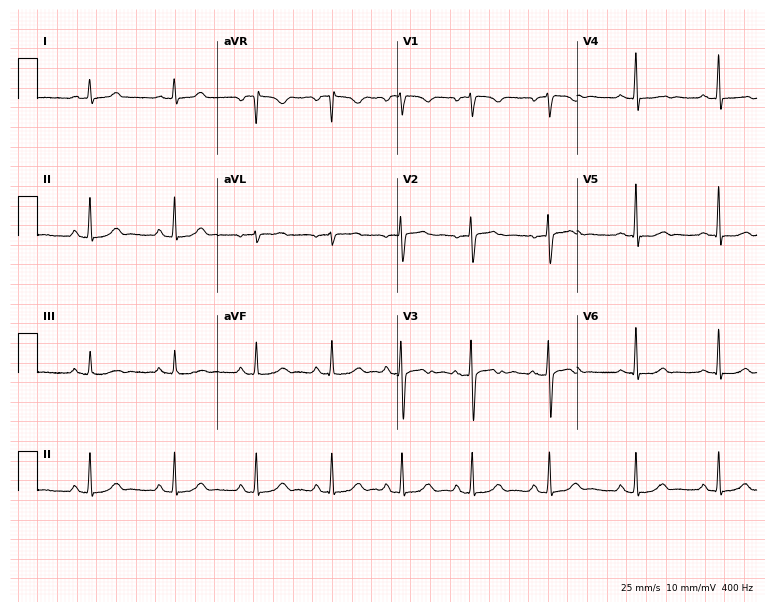
12-lead ECG from a 34-year-old female patient. Recorded interpretation: within normal limits.